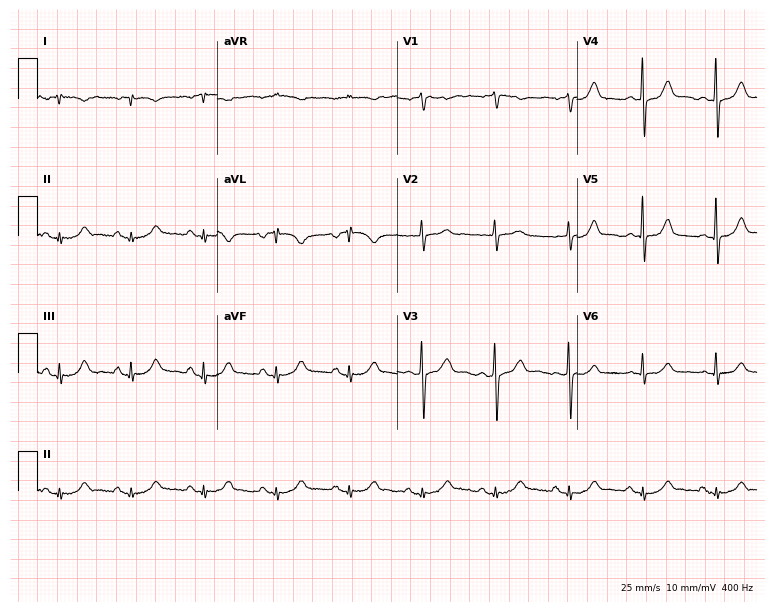
Electrocardiogram, a 68-year-old male patient. Of the six screened findings (first-degree AV block, right bundle branch block, left bundle branch block, sinus bradycardia, atrial fibrillation, sinus tachycardia), none is recorded. Findings outside these six are not listed.